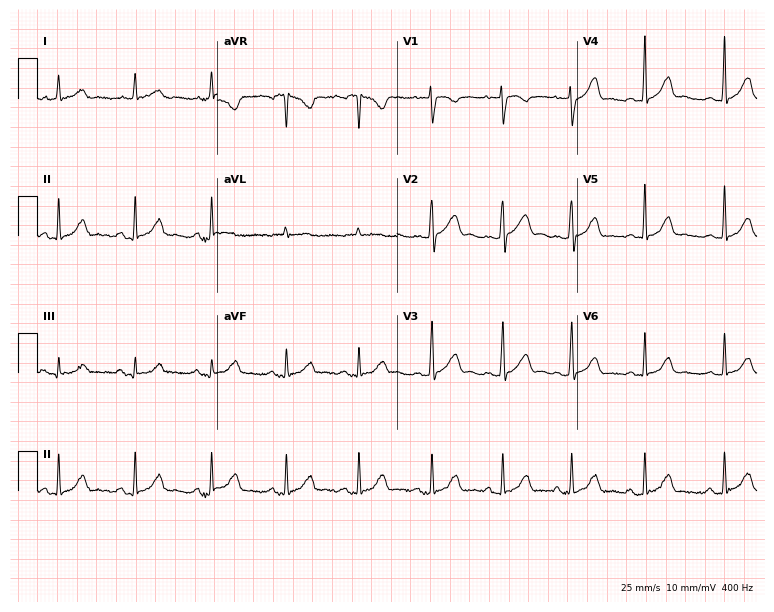
ECG — a 29-year-old female. Screened for six findings — first-degree AV block, right bundle branch block (RBBB), left bundle branch block (LBBB), sinus bradycardia, atrial fibrillation (AF), sinus tachycardia — none is recorded.